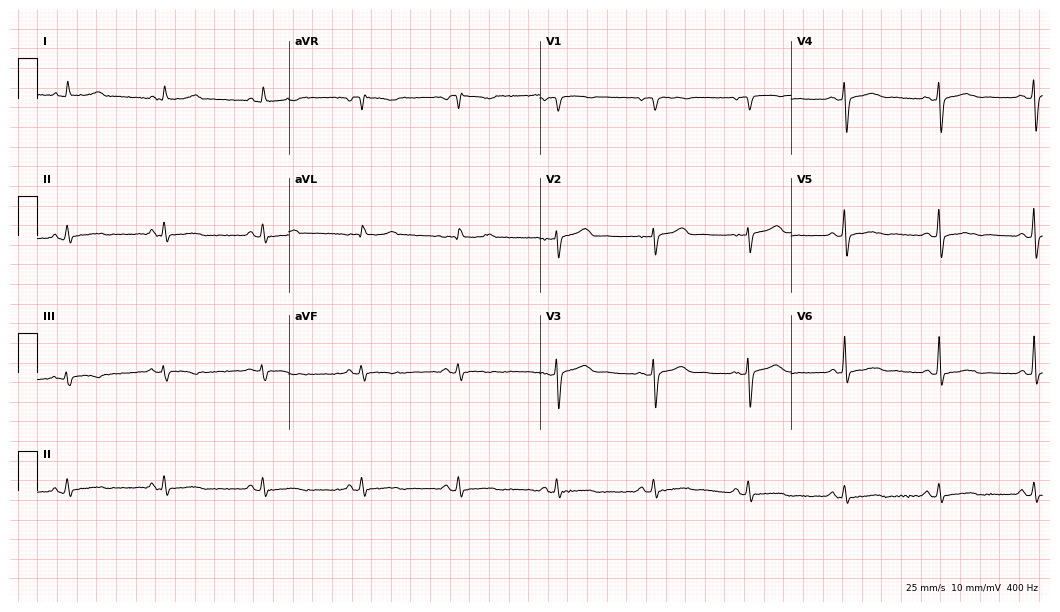
Electrocardiogram (10.2-second recording at 400 Hz), a 79-year-old female patient. Of the six screened findings (first-degree AV block, right bundle branch block, left bundle branch block, sinus bradycardia, atrial fibrillation, sinus tachycardia), none is recorded.